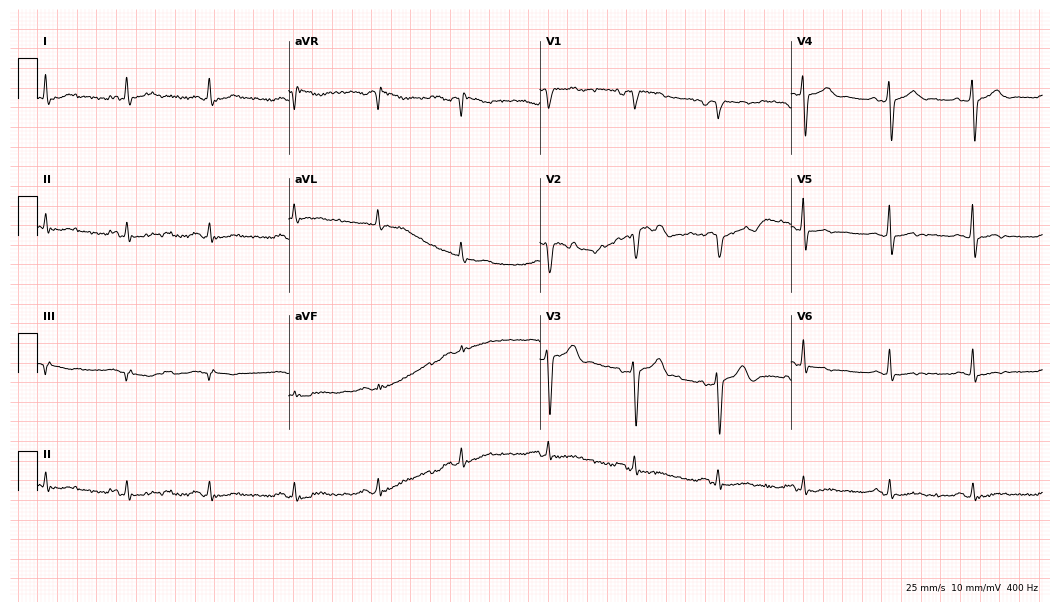
Electrocardiogram (10.2-second recording at 400 Hz), a 62-year-old male. Of the six screened findings (first-degree AV block, right bundle branch block, left bundle branch block, sinus bradycardia, atrial fibrillation, sinus tachycardia), none is recorded. Only these six findings were labelled.